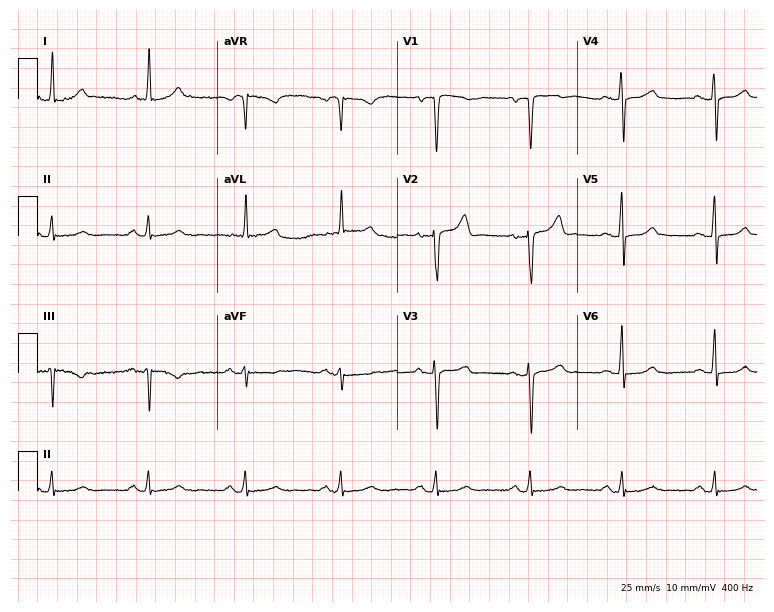
Standard 12-lead ECG recorded from a male, 68 years old. None of these six findings is recorded: first-degree AV block, right bundle branch block, left bundle branch block, sinus bradycardia, atrial fibrillation, sinus tachycardia.